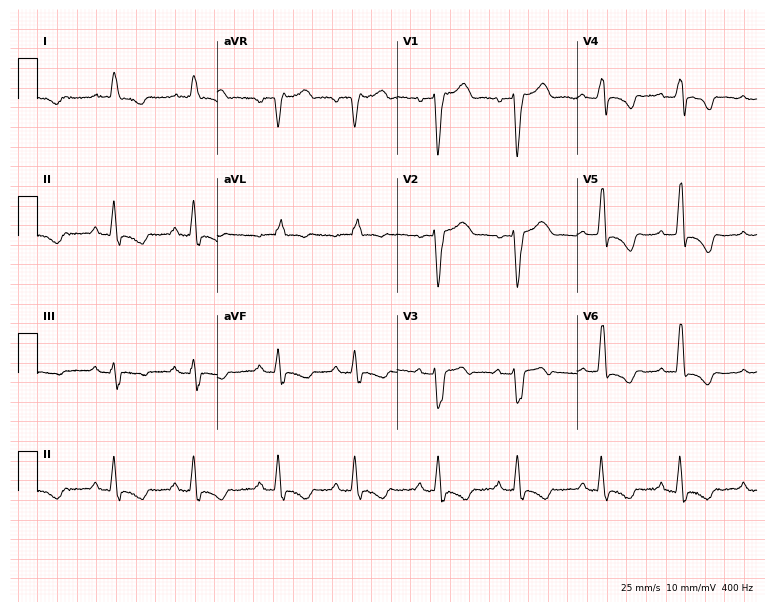
Standard 12-lead ECG recorded from a woman, 68 years old (7.3-second recording at 400 Hz). The tracing shows left bundle branch block.